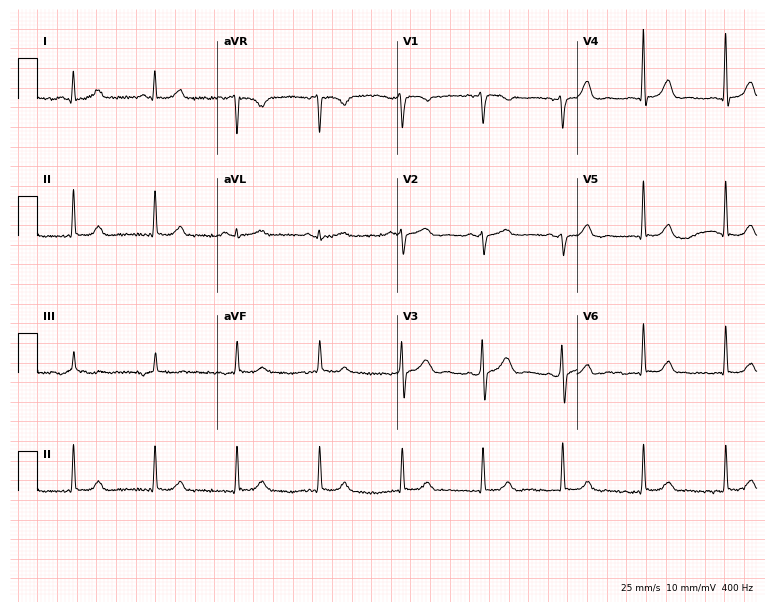
Electrocardiogram, a 55-year-old female. Overall reading on record: normal ECG.